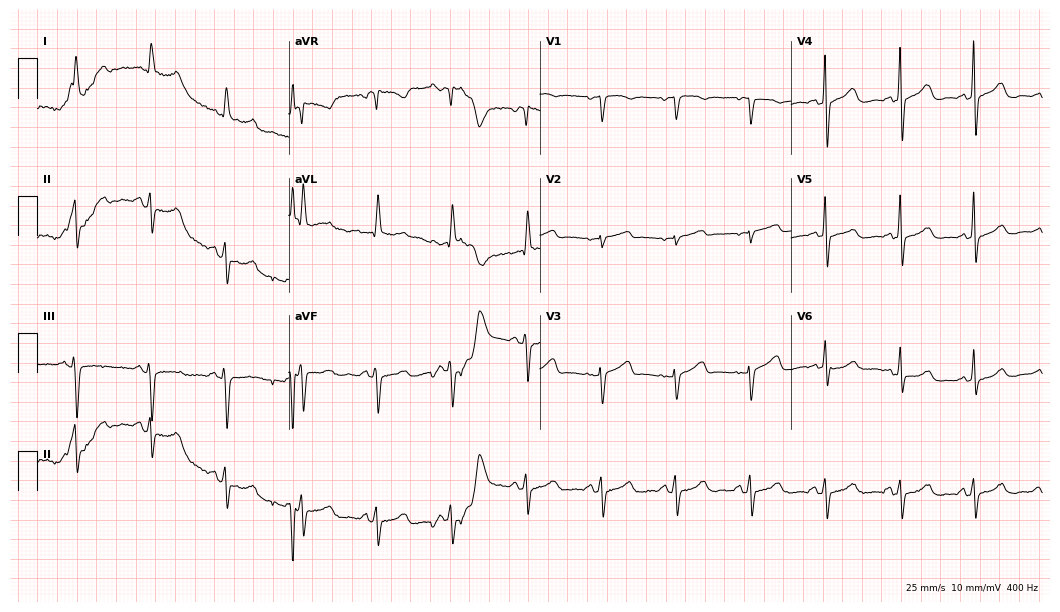
ECG — a female patient, 69 years old. Screened for six findings — first-degree AV block, right bundle branch block, left bundle branch block, sinus bradycardia, atrial fibrillation, sinus tachycardia — none is recorded. Other findings, if any, are not listed.